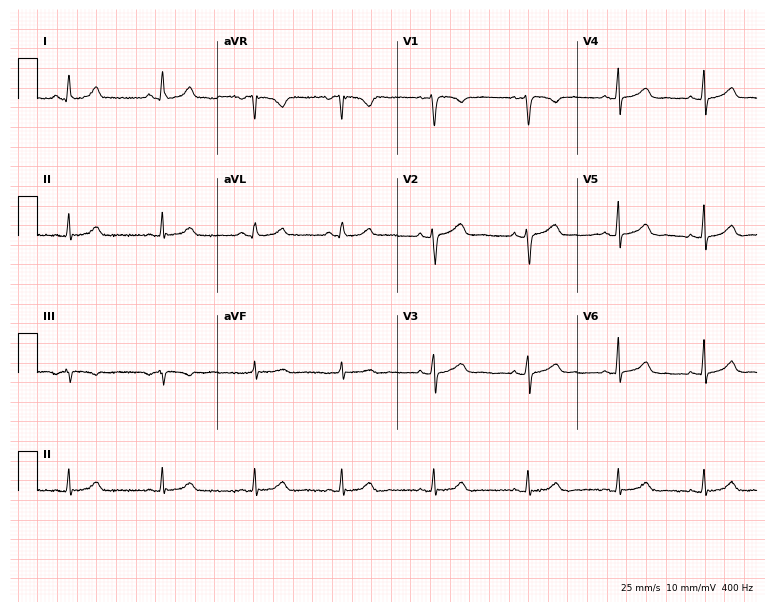
12-lead ECG from a female, 46 years old. Screened for six findings — first-degree AV block, right bundle branch block (RBBB), left bundle branch block (LBBB), sinus bradycardia, atrial fibrillation (AF), sinus tachycardia — none is recorded. Findings outside these six are not listed.